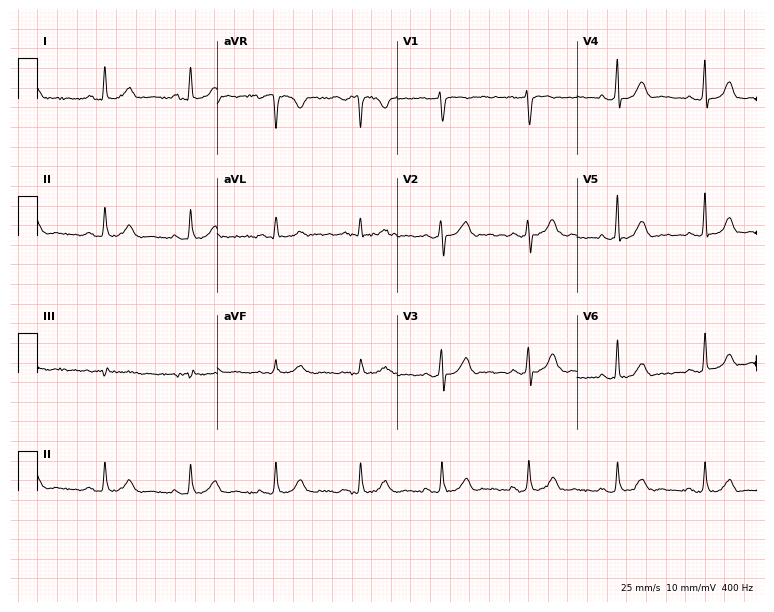
Resting 12-lead electrocardiogram. Patient: a woman, 42 years old. None of these six findings is recorded: first-degree AV block, right bundle branch block, left bundle branch block, sinus bradycardia, atrial fibrillation, sinus tachycardia. Only these six findings were labelled.